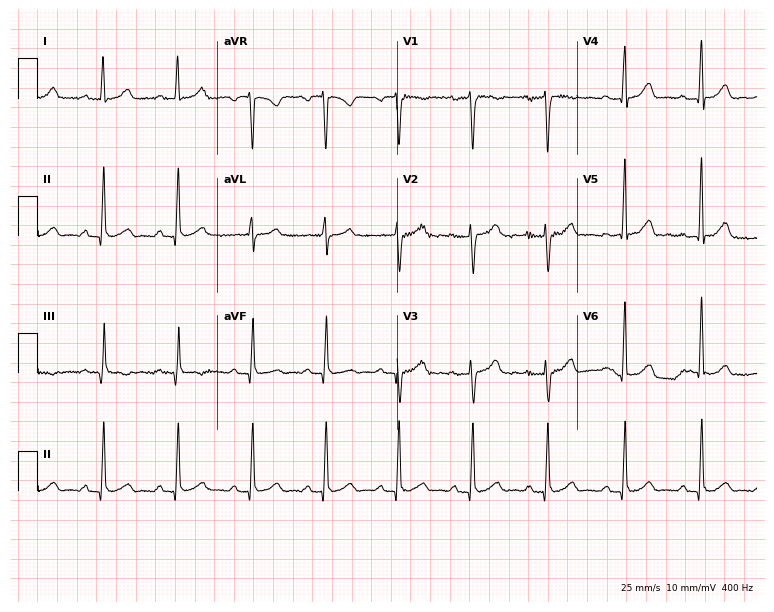
ECG (7.3-second recording at 400 Hz) — a 43-year-old female. Labelled as a normal ECG.